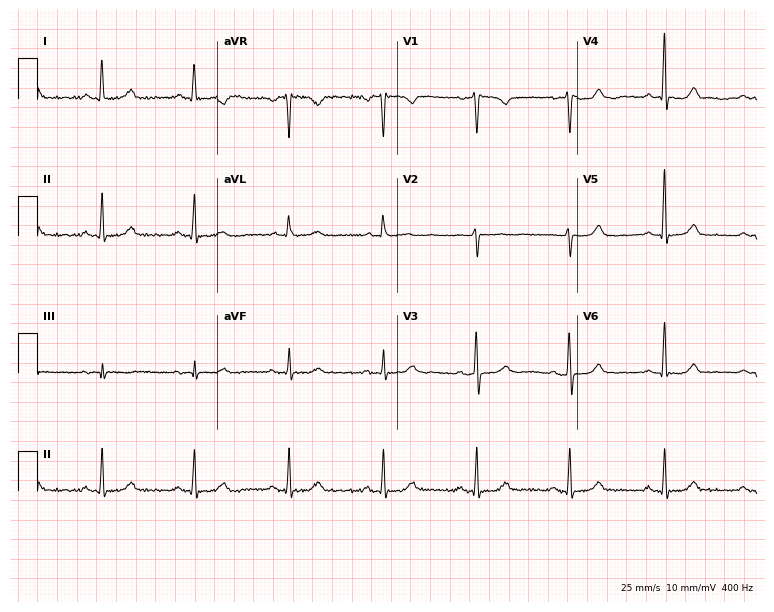
12-lead ECG from a 62-year-old female patient. Recorded interpretation: within normal limits.